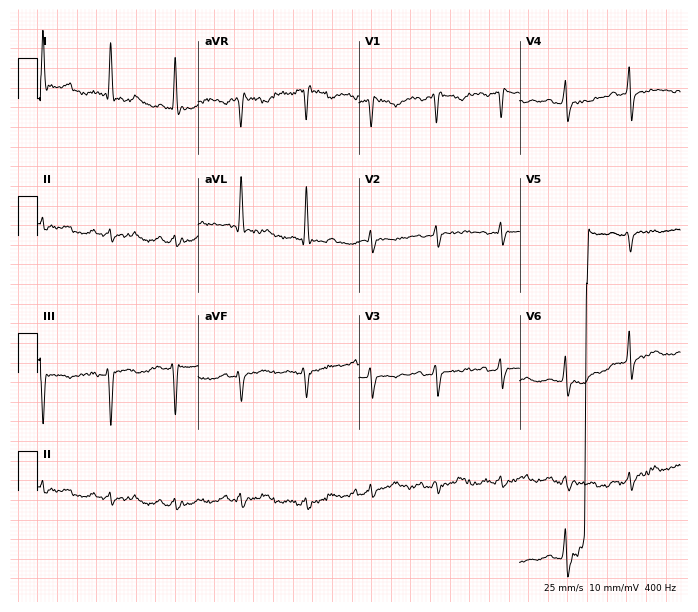
Standard 12-lead ECG recorded from a 79-year-old woman (6.6-second recording at 400 Hz). None of these six findings is recorded: first-degree AV block, right bundle branch block, left bundle branch block, sinus bradycardia, atrial fibrillation, sinus tachycardia. Only these six findings were labelled.